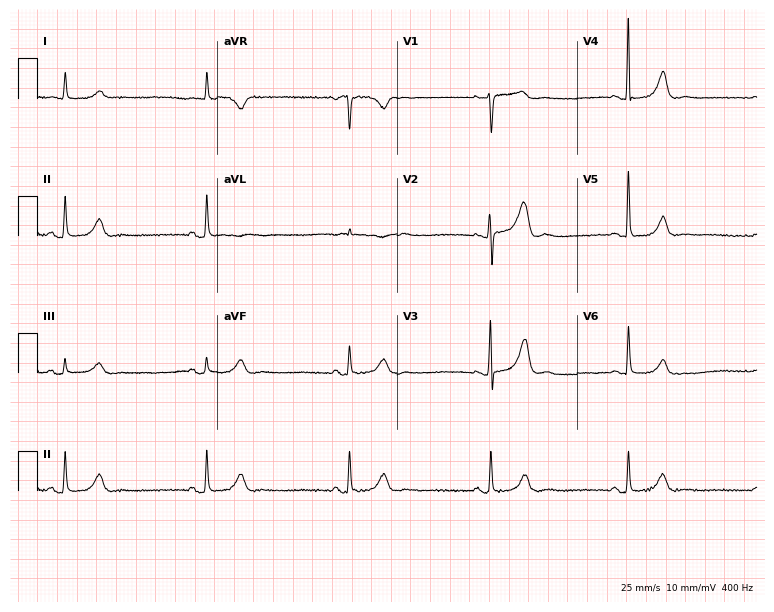
12-lead ECG from a 79-year-old woman. Findings include sinus bradycardia (a sinus rate of 50 beats per minute or less).